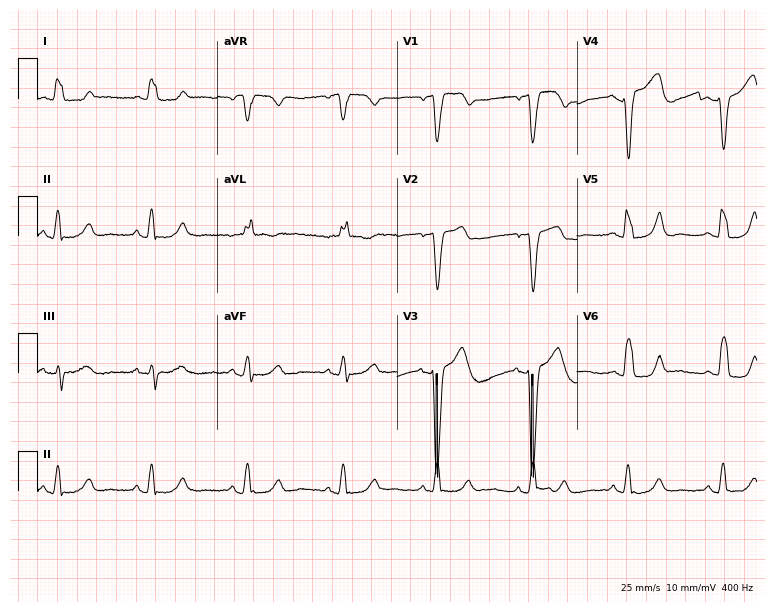
12-lead ECG from a female patient, 73 years old. Shows left bundle branch block (LBBB).